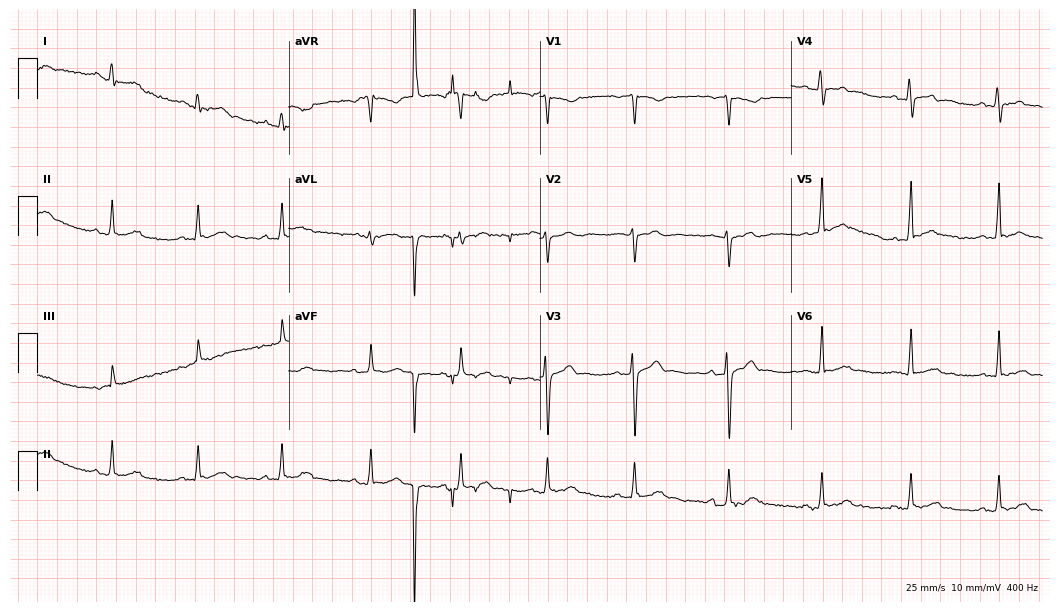
Standard 12-lead ECG recorded from a man, 29 years old (10.2-second recording at 400 Hz). Read as a normal ECG.